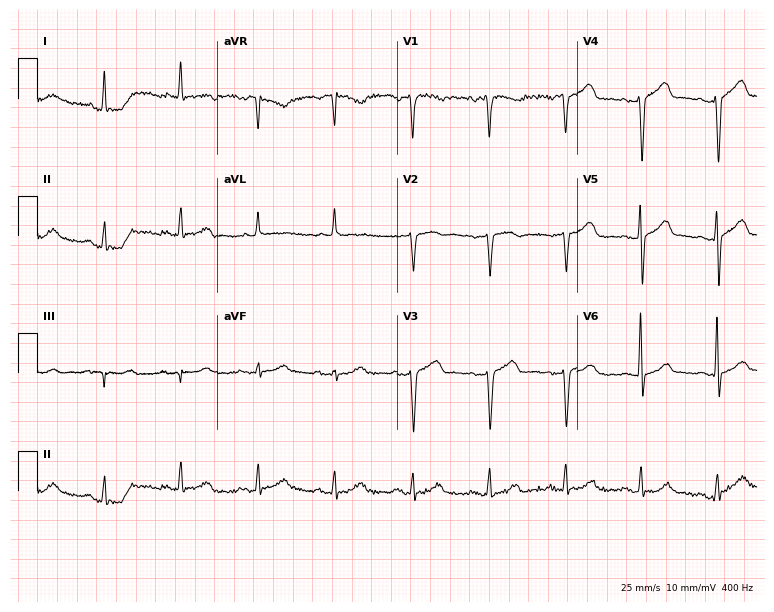
12-lead ECG from a male, 80 years old (7.3-second recording at 400 Hz). No first-degree AV block, right bundle branch block, left bundle branch block, sinus bradycardia, atrial fibrillation or sinus tachycardia recorded for this tracing. Other findings, if any, are not listed.